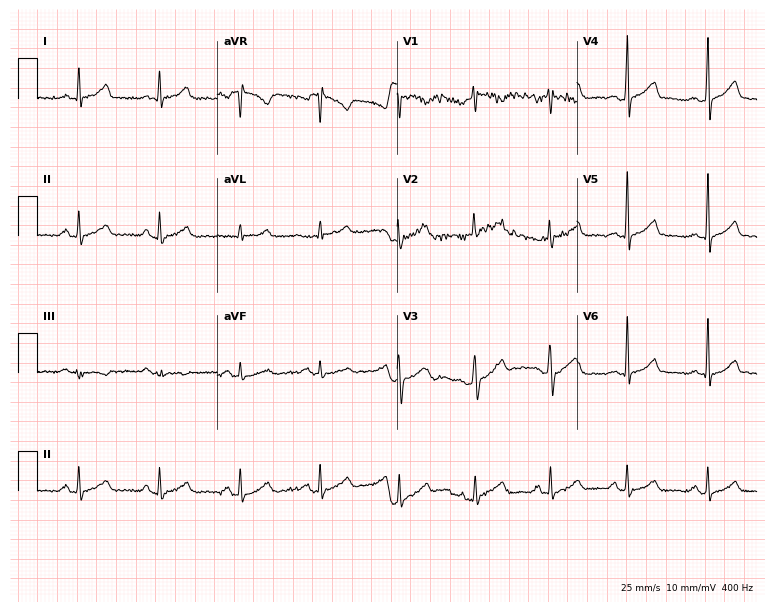
12-lead ECG from a man, 35 years old. Labelled as a normal ECG.